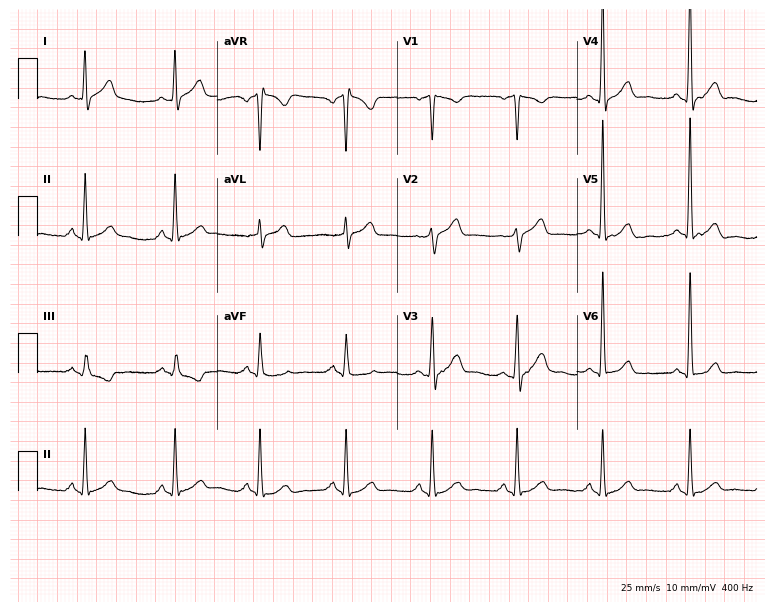
12-lead ECG from a male, 54 years old. No first-degree AV block, right bundle branch block, left bundle branch block, sinus bradycardia, atrial fibrillation or sinus tachycardia recorded for this tracing.